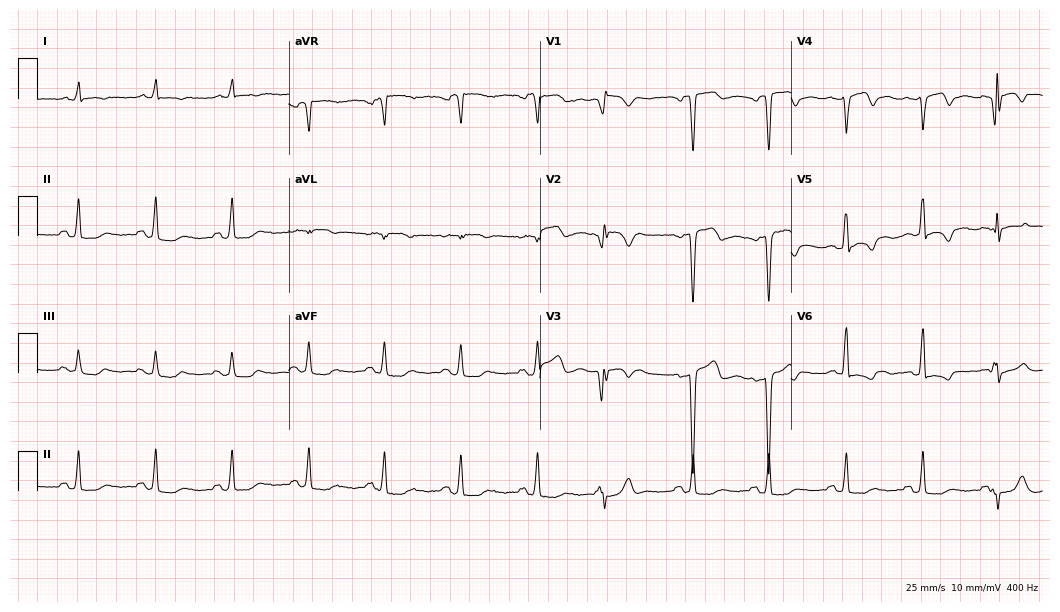
Electrocardiogram (10.2-second recording at 400 Hz), a male, 71 years old. Of the six screened findings (first-degree AV block, right bundle branch block (RBBB), left bundle branch block (LBBB), sinus bradycardia, atrial fibrillation (AF), sinus tachycardia), none is recorded. Other findings, if any, are not listed.